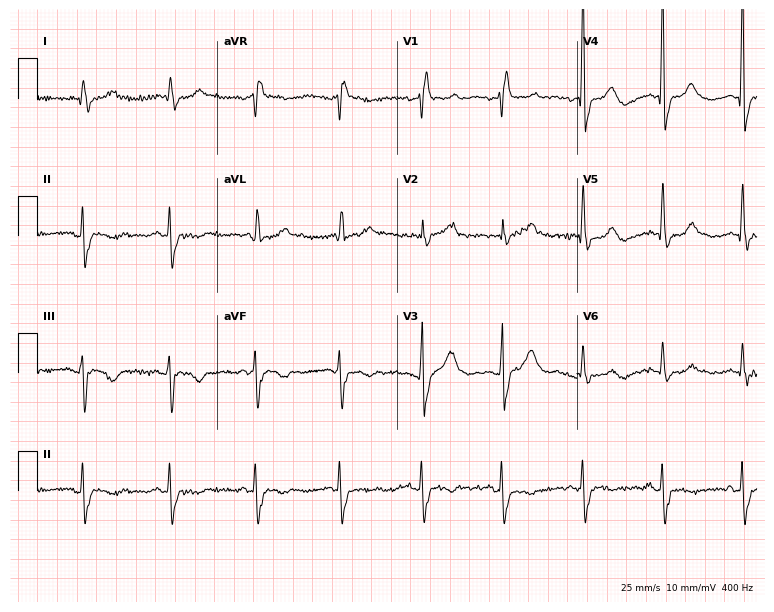
12-lead ECG from a woman, 69 years old. No first-degree AV block, right bundle branch block, left bundle branch block, sinus bradycardia, atrial fibrillation or sinus tachycardia recorded for this tracing. Findings outside these six are not listed.